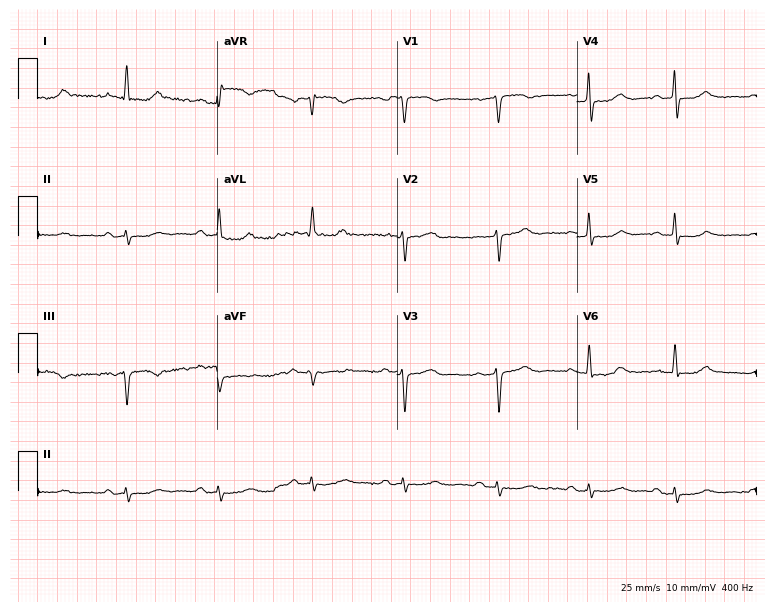
Electrocardiogram (7.3-second recording at 400 Hz), a female patient, 61 years old. Interpretation includes first-degree AV block.